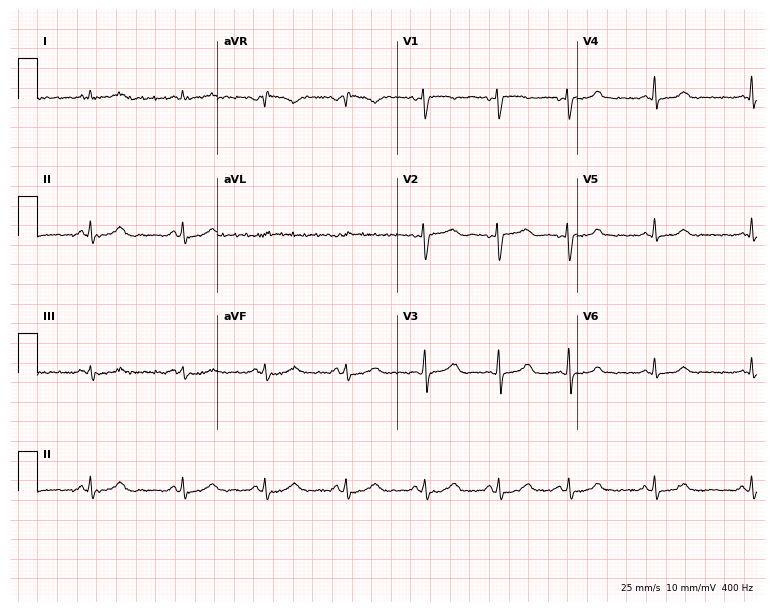
12-lead ECG (7.3-second recording at 400 Hz) from a female, 38 years old. Labelled as a normal ECG.